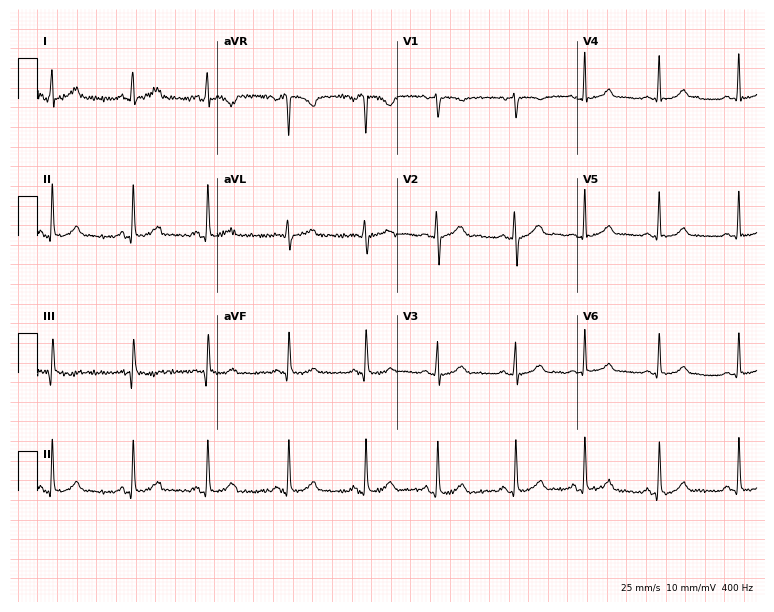
Resting 12-lead electrocardiogram (7.3-second recording at 400 Hz). Patient: a 27-year-old woman. Read as a normal ECG.